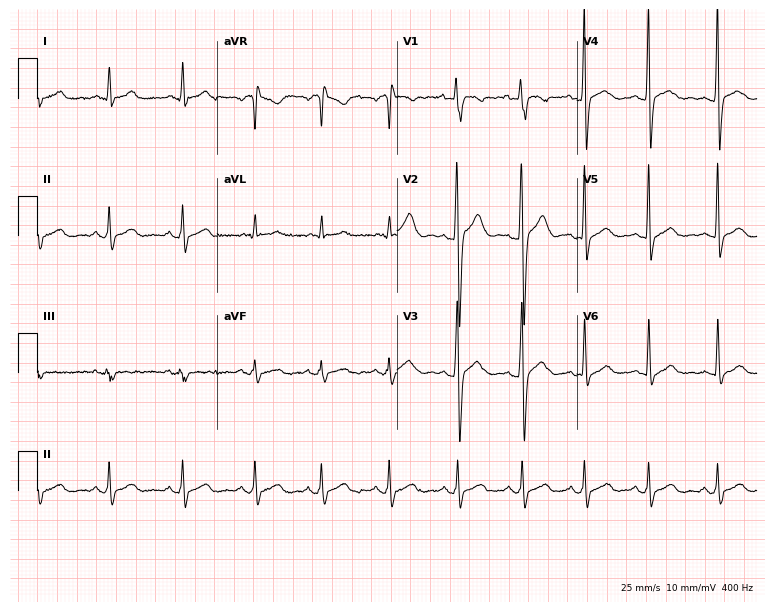
Electrocardiogram (7.3-second recording at 400 Hz), a 24-year-old man. Overall reading on record: normal ECG.